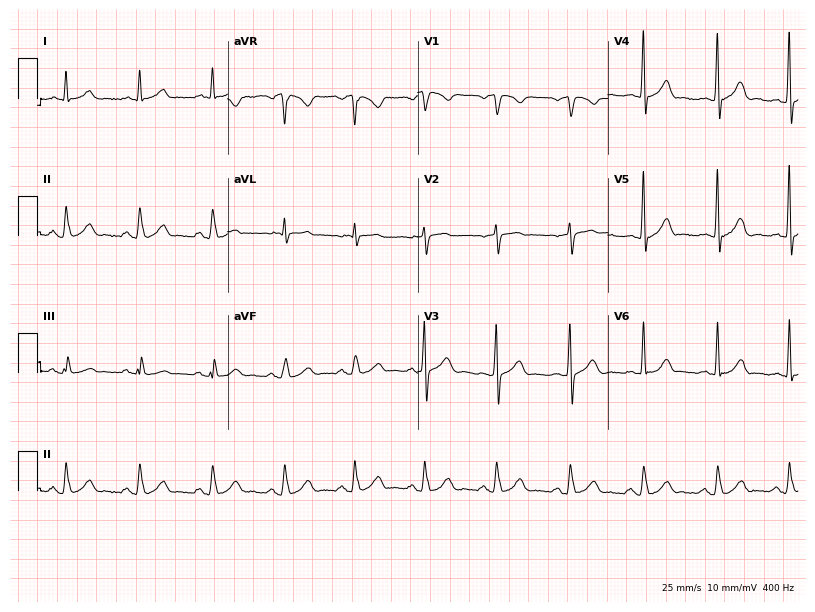
Standard 12-lead ECG recorded from a male patient, 49 years old. None of these six findings is recorded: first-degree AV block, right bundle branch block, left bundle branch block, sinus bradycardia, atrial fibrillation, sinus tachycardia. Findings outside these six are not listed.